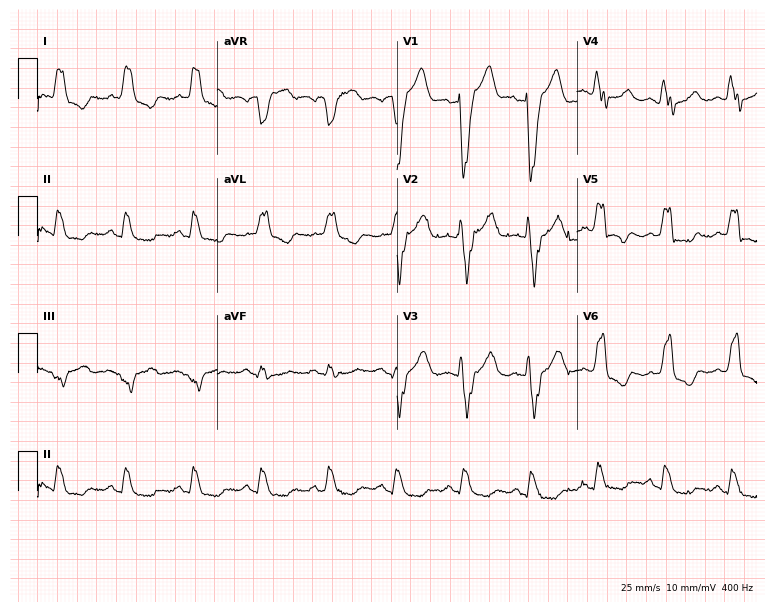
12-lead ECG from a male, 73 years old. Shows left bundle branch block (LBBB).